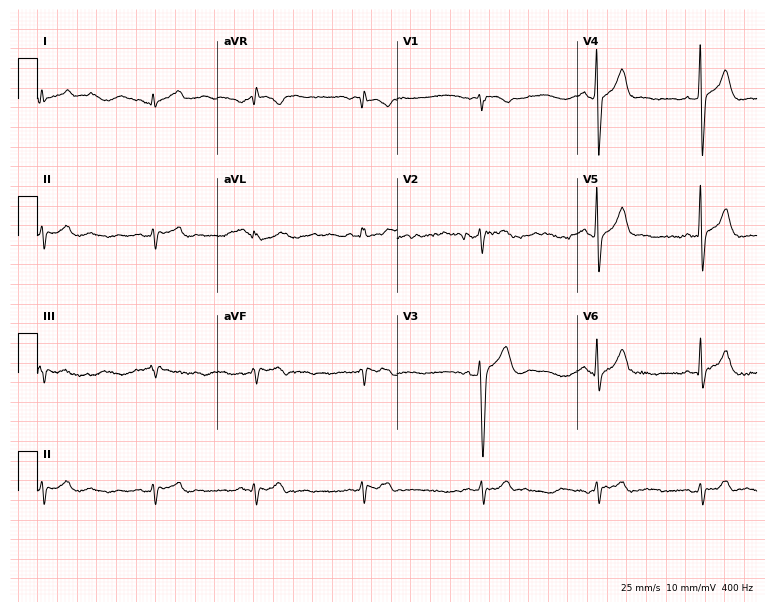
Standard 12-lead ECG recorded from a 20-year-old male (7.3-second recording at 400 Hz). None of these six findings is recorded: first-degree AV block, right bundle branch block, left bundle branch block, sinus bradycardia, atrial fibrillation, sinus tachycardia. Only these six findings were labelled.